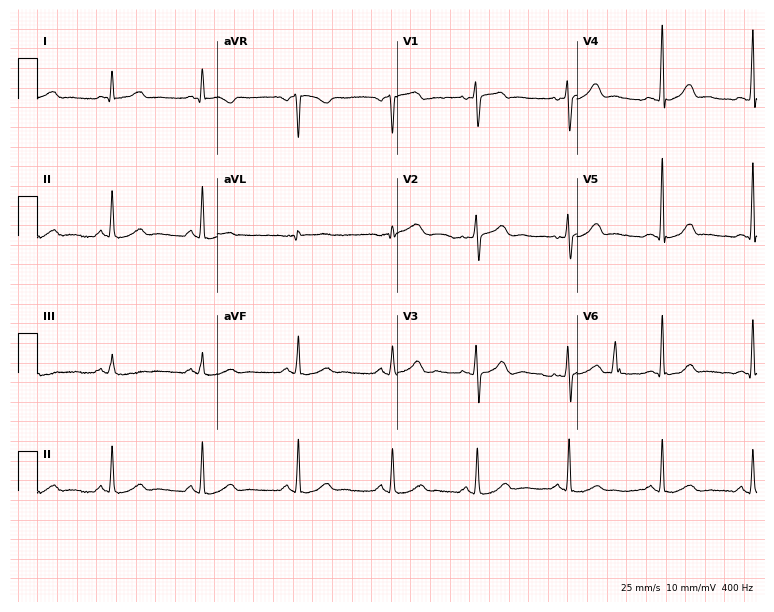
12-lead ECG (7.3-second recording at 400 Hz) from a 44-year-old woman. Labelled as a normal ECG.